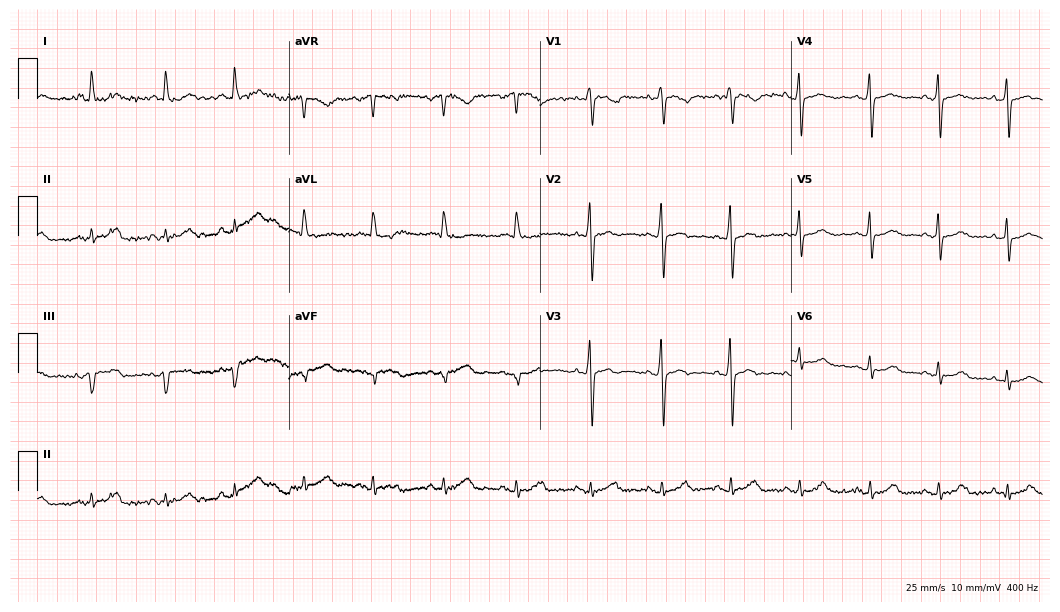
ECG (10.2-second recording at 400 Hz) — a 53-year-old female patient. Screened for six findings — first-degree AV block, right bundle branch block, left bundle branch block, sinus bradycardia, atrial fibrillation, sinus tachycardia — none is recorded.